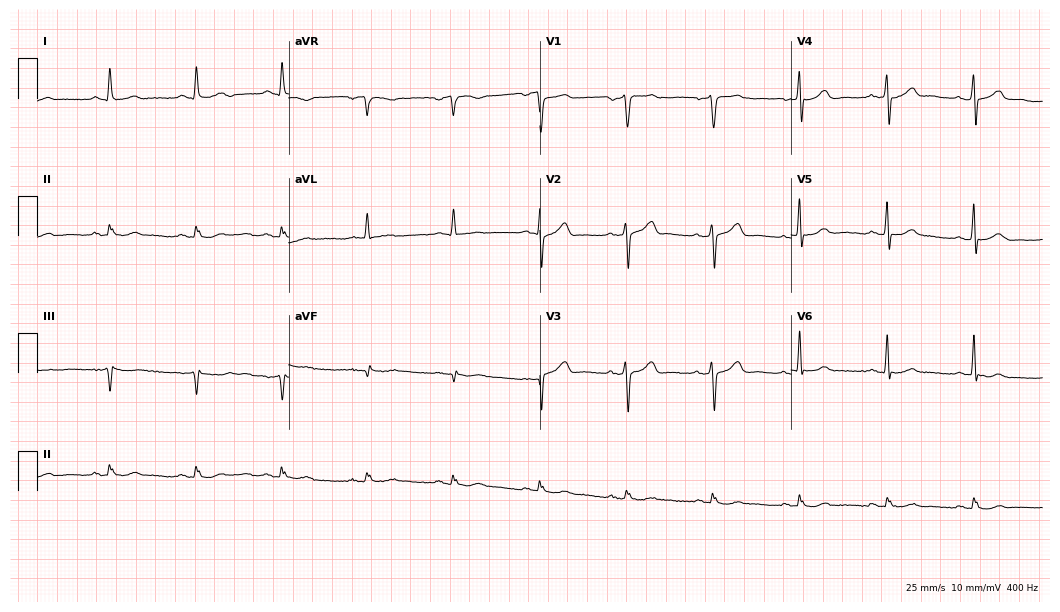
Standard 12-lead ECG recorded from a male, 75 years old. Read as a normal ECG.